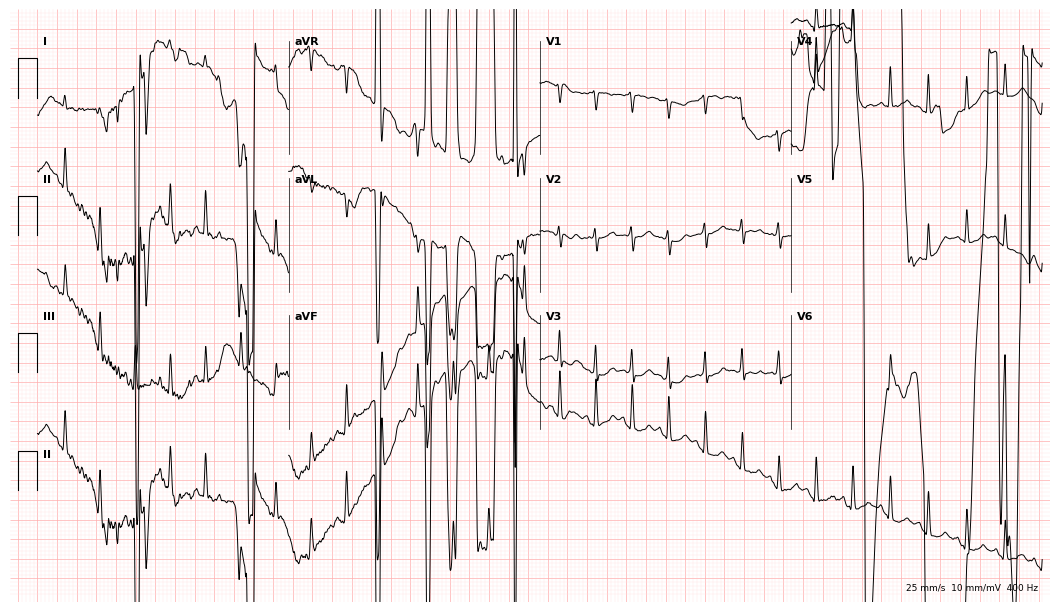
Resting 12-lead electrocardiogram. Patient: a female, 20 years old. None of these six findings is recorded: first-degree AV block, right bundle branch block, left bundle branch block, sinus bradycardia, atrial fibrillation, sinus tachycardia.